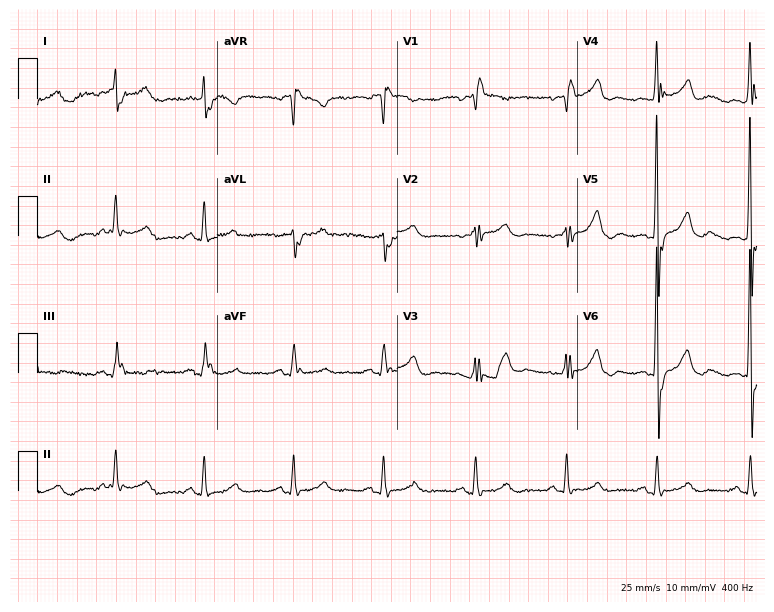
12-lead ECG (7.3-second recording at 400 Hz) from a 72-year-old male. Findings include right bundle branch block.